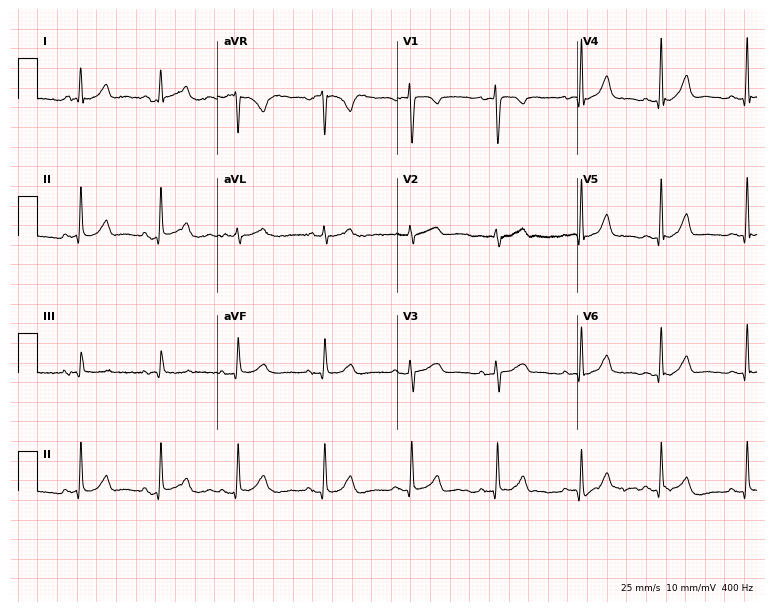
Resting 12-lead electrocardiogram (7.3-second recording at 400 Hz). Patient: a female, 34 years old. Read as a normal ECG.